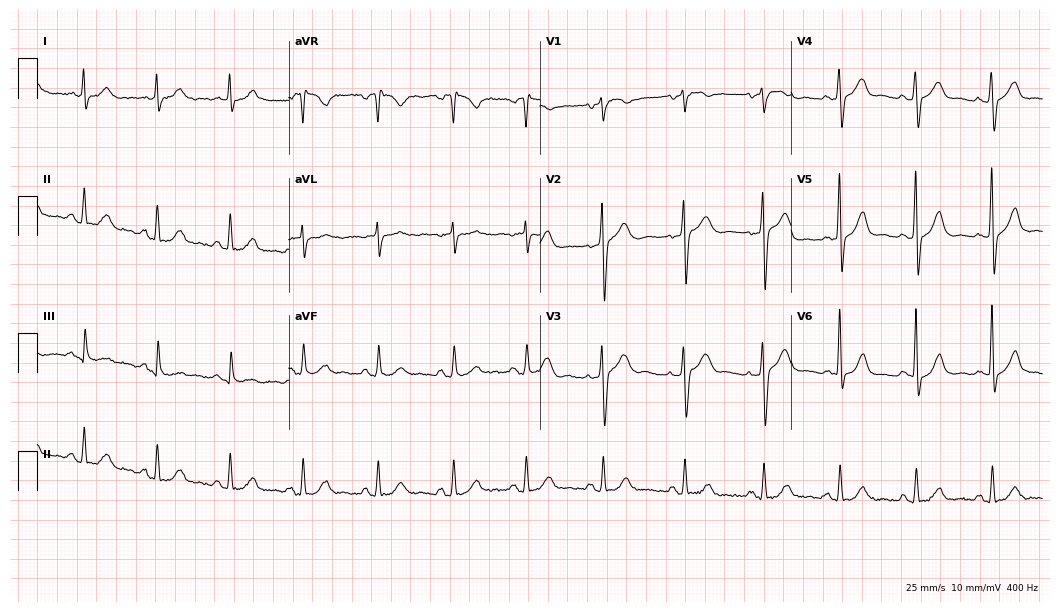
Electrocardiogram, a 63-year-old male. Overall reading on record: normal ECG.